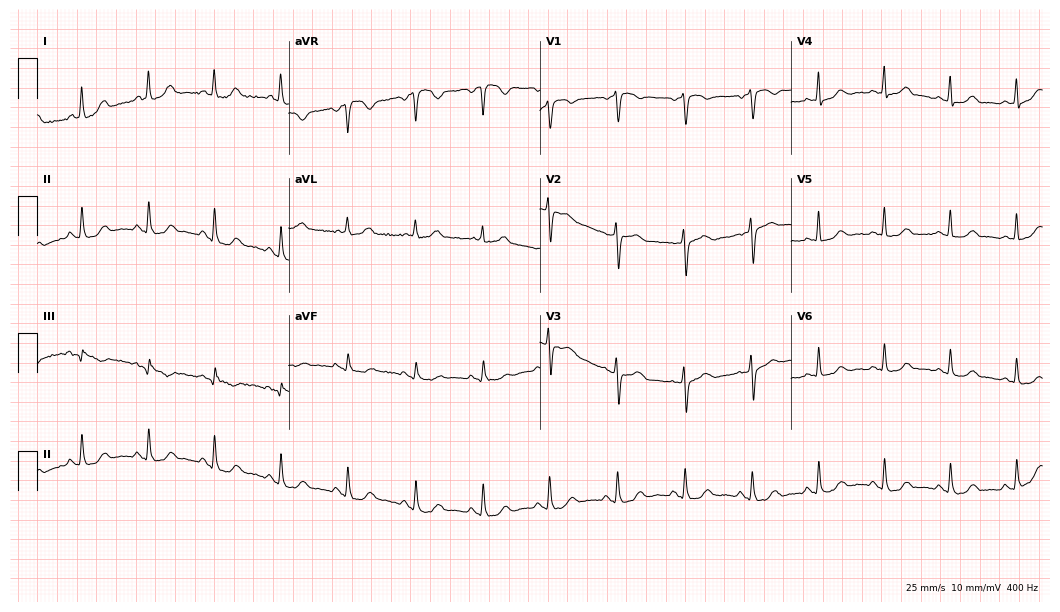
Standard 12-lead ECG recorded from a female, 71 years old. Read as a normal ECG.